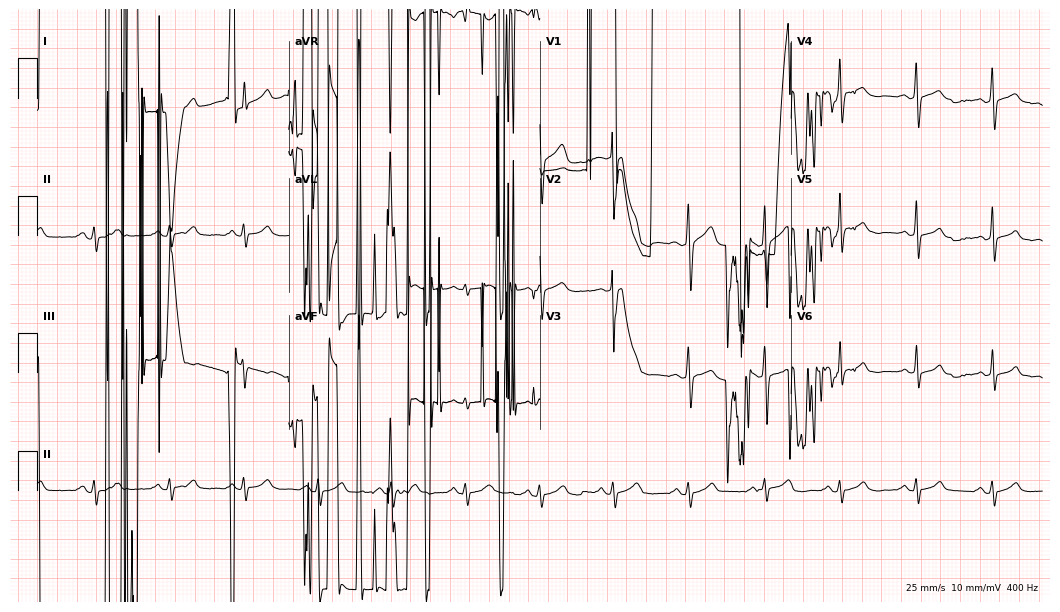
Electrocardiogram (10.2-second recording at 400 Hz), a 79-year-old male. Of the six screened findings (first-degree AV block, right bundle branch block, left bundle branch block, sinus bradycardia, atrial fibrillation, sinus tachycardia), none is recorded.